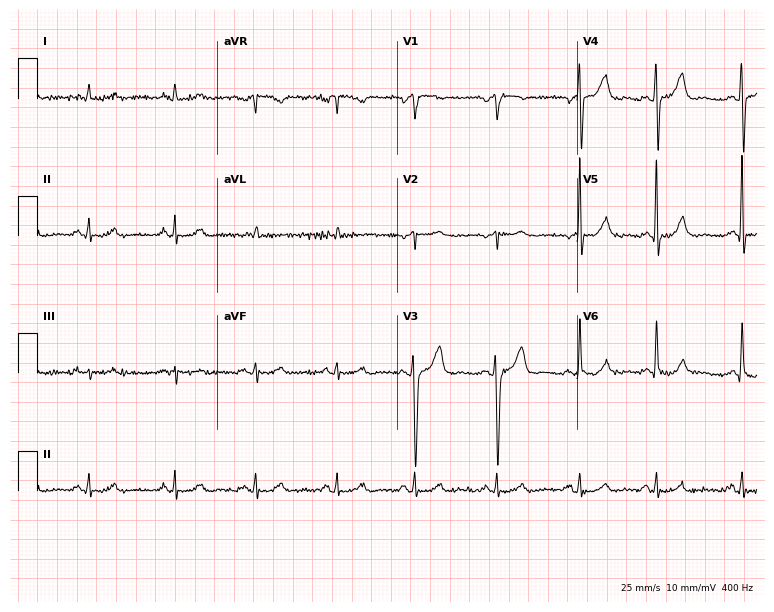
Electrocardiogram, a 78-year-old male. Overall reading on record: normal ECG.